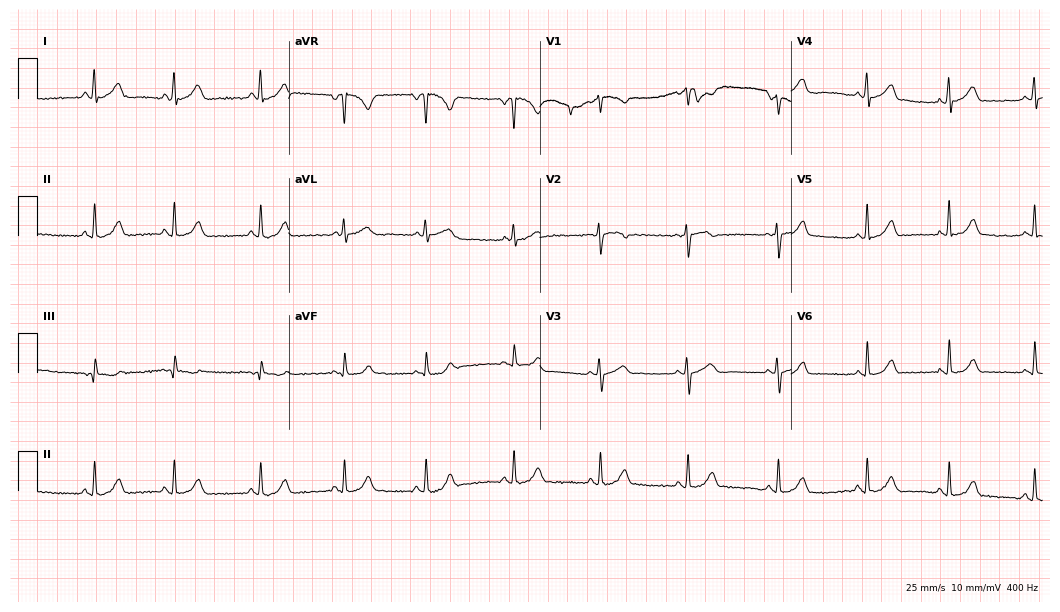
Standard 12-lead ECG recorded from a woman, 28 years old. Read as a normal ECG.